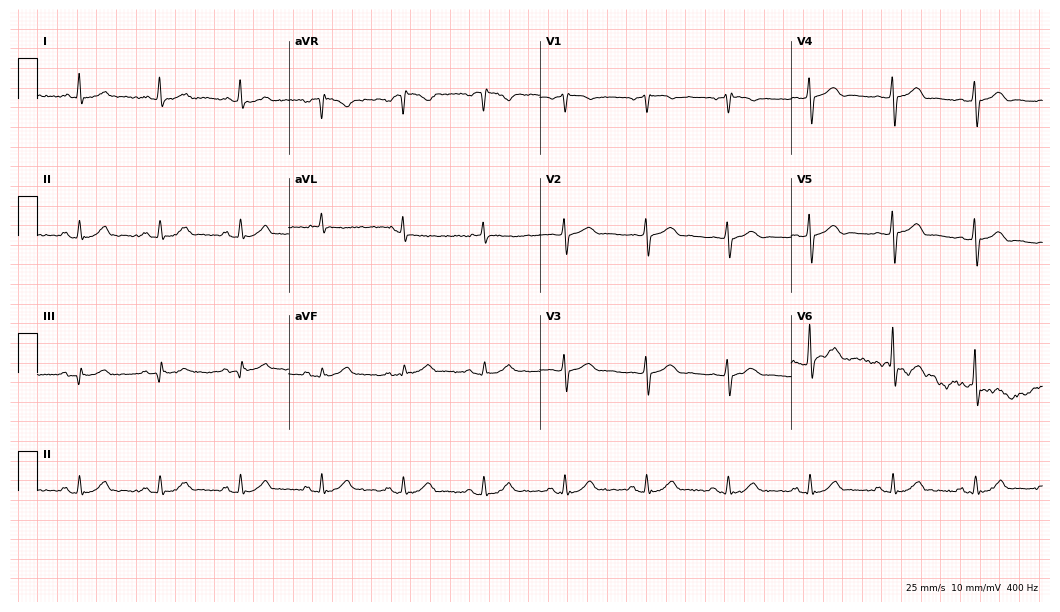
Resting 12-lead electrocardiogram (10.2-second recording at 400 Hz). Patient: a male, 67 years old. Read as a normal ECG.